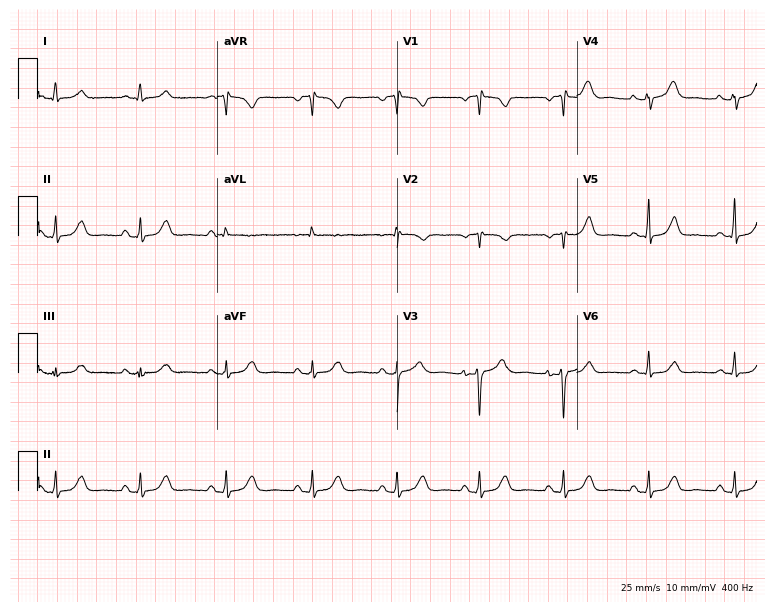
ECG (7.3-second recording at 400 Hz) — a 58-year-old female patient. Labelled as a normal ECG.